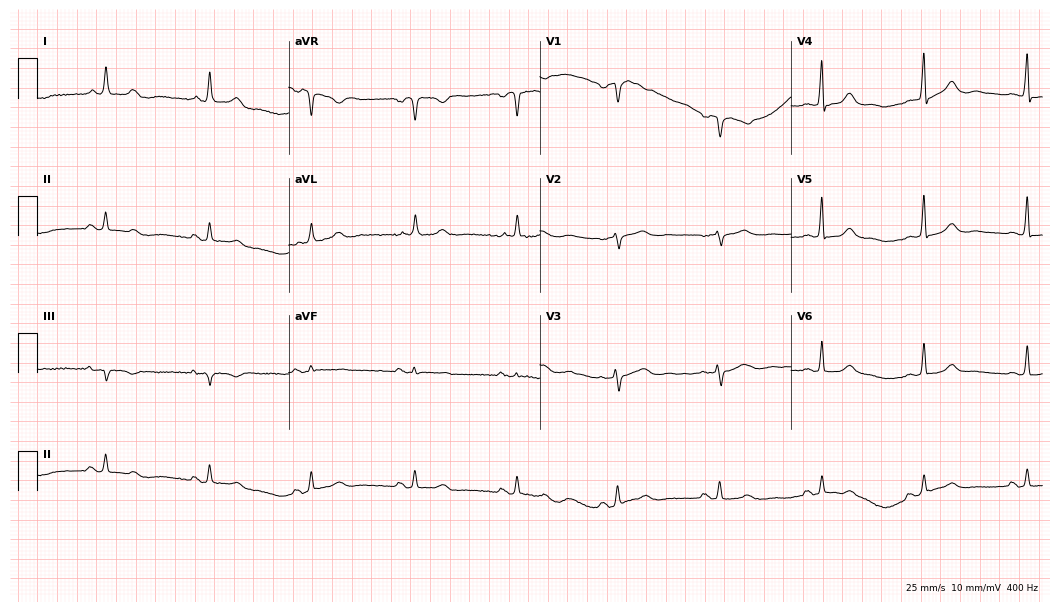
Standard 12-lead ECG recorded from a 75-year-old female (10.2-second recording at 400 Hz). Read as a normal ECG.